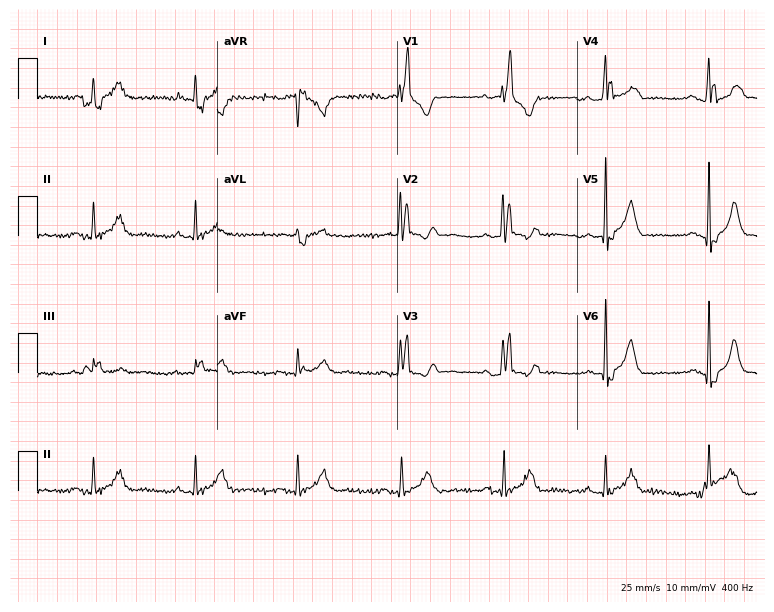
12-lead ECG from a female patient, 78 years old. Findings include right bundle branch block.